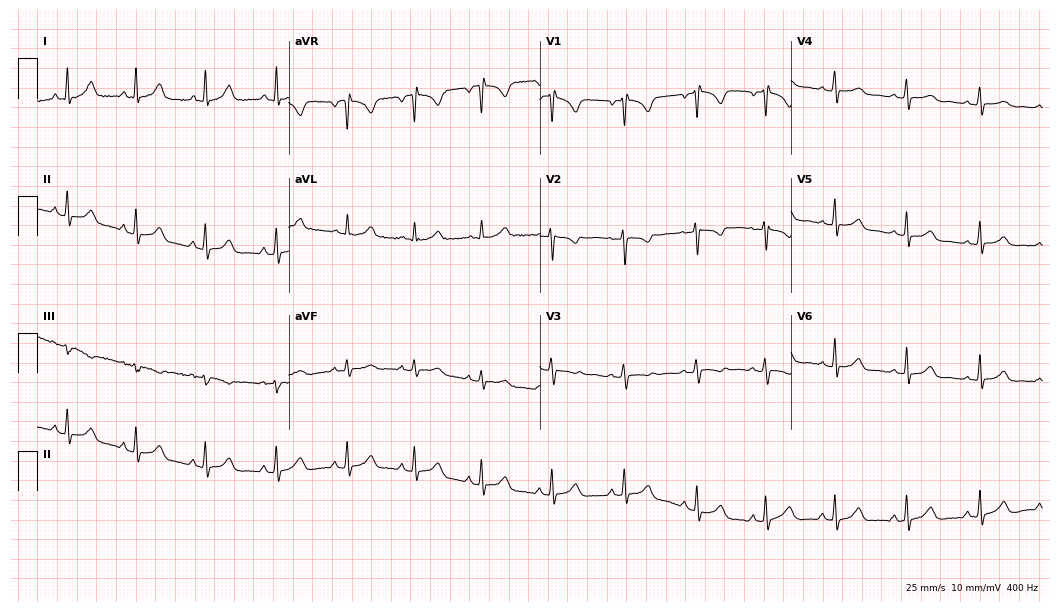
ECG — a woman, 17 years old. Labelled as a normal ECG.